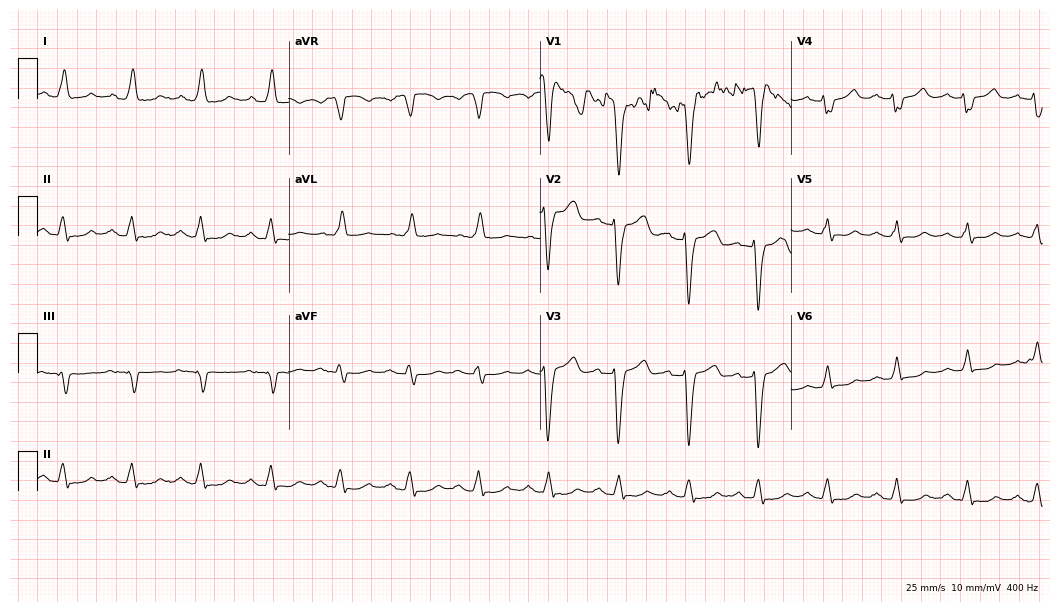
ECG (10.2-second recording at 400 Hz) — a 69-year-old male. Findings include left bundle branch block (LBBB), atrial fibrillation (AF).